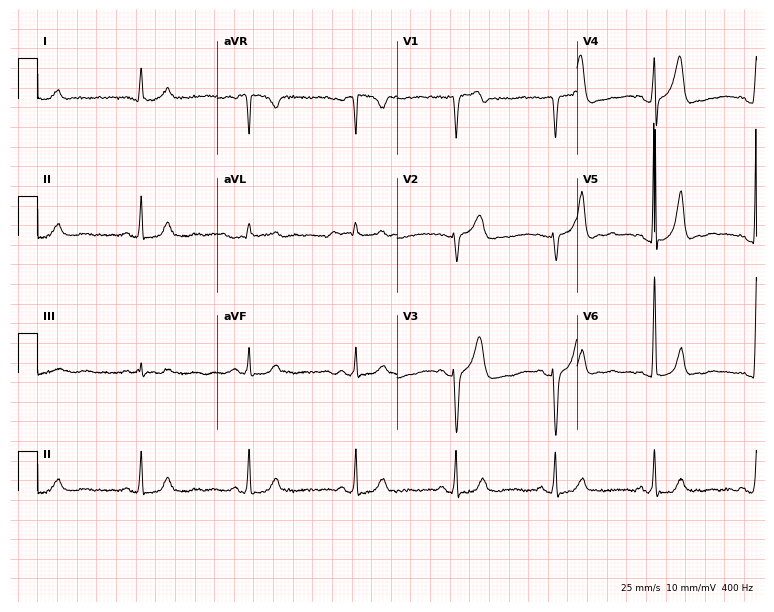
12-lead ECG from a male patient, 62 years old (7.3-second recording at 400 Hz). Recorded interpretation: within normal limits.